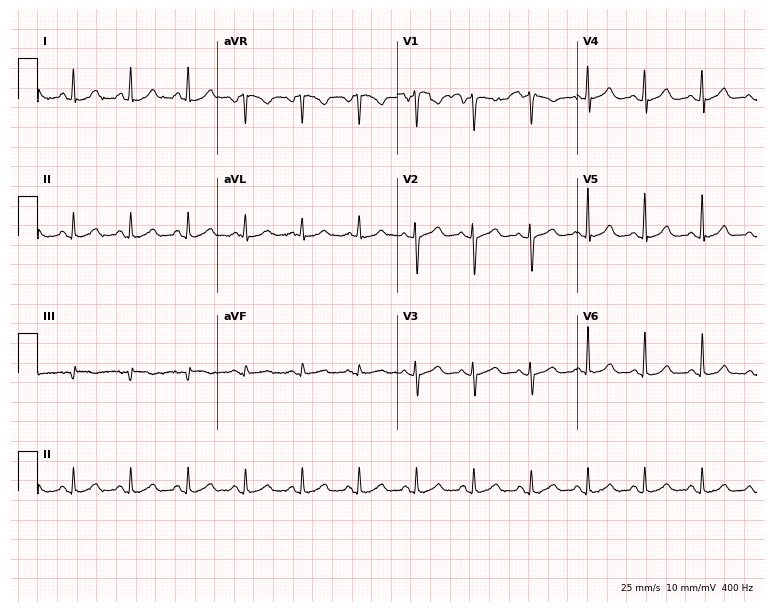
12-lead ECG (7.3-second recording at 400 Hz) from a female patient, 41 years old. Findings include sinus tachycardia (a sinus rate of 100 beats per minute or more).